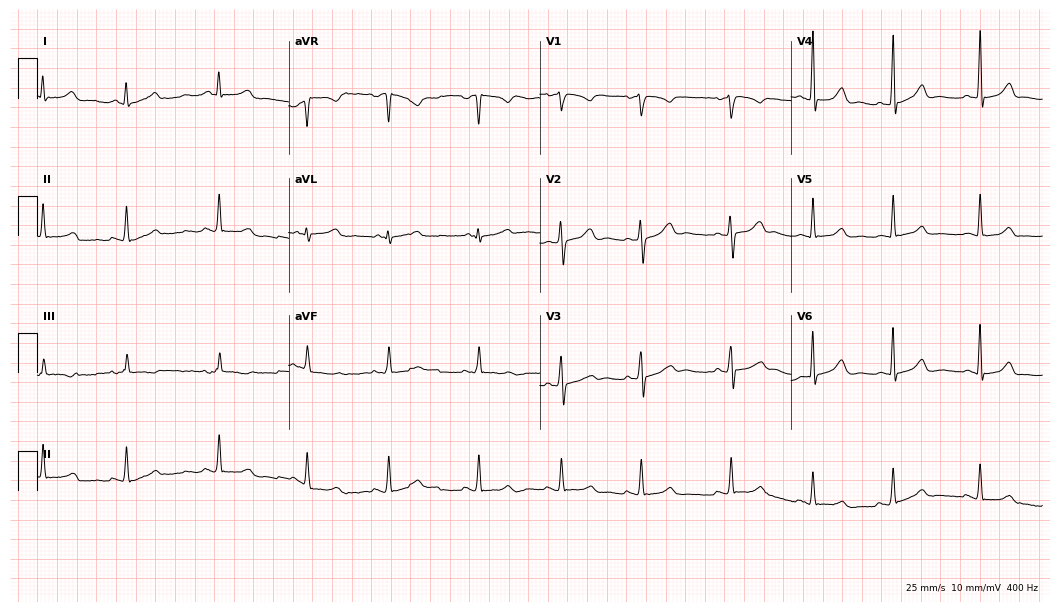
Resting 12-lead electrocardiogram (10.2-second recording at 400 Hz). Patient: a female, 29 years old. None of these six findings is recorded: first-degree AV block, right bundle branch block (RBBB), left bundle branch block (LBBB), sinus bradycardia, atrial fibrillation (AF), sinus tachycardia. Other findings, if any, are not listed.